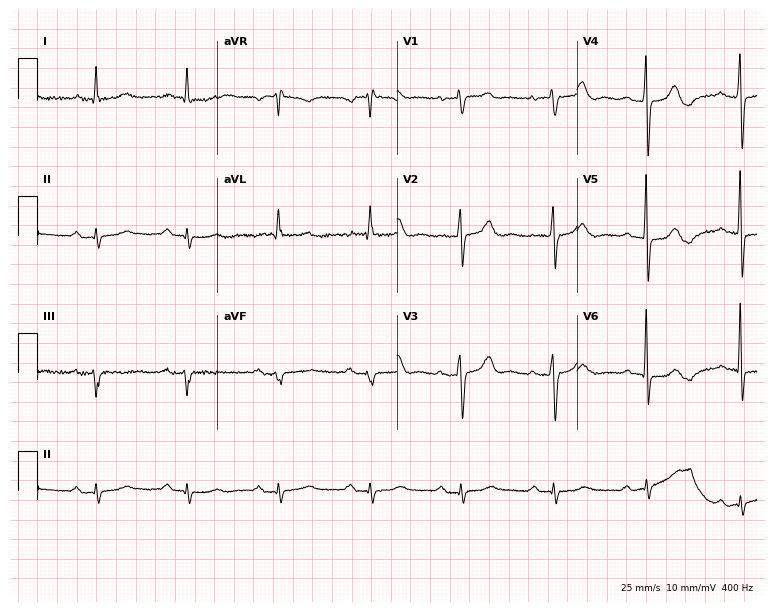
Resting 12-lead electrocardiogram (7.3-second recording at 400 Hz). Patient: a man, 82 years old. Read as a normal ECG.